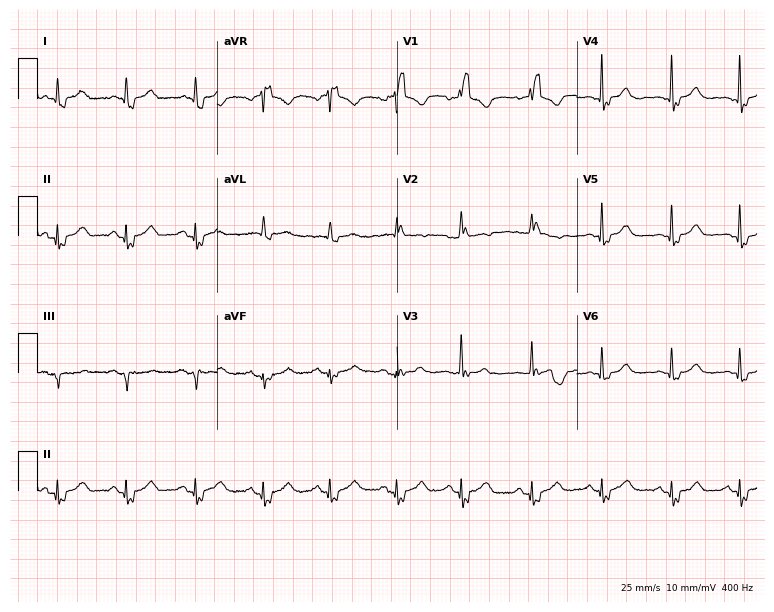
12-lead ECG from a 72-year-old female. No first-degree AV block, right bundle branch block, left bundle branch block, sinus bradycardia, atrial fibrillation or sinus tachycardia recorded for this tracing.